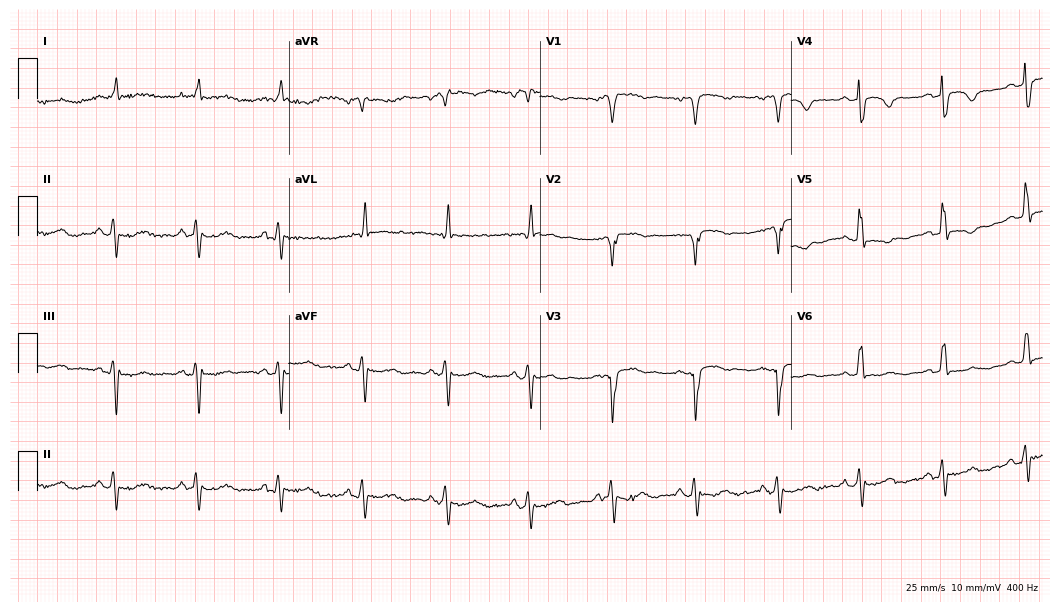
12-lead ECG from a man, 80 years old. Screened for six findings — first-degree AV block, right bundle branch block, left bundle branch block, sinus bradycardia, atrial fibrillation, sinus tachycardia — none is recorded.